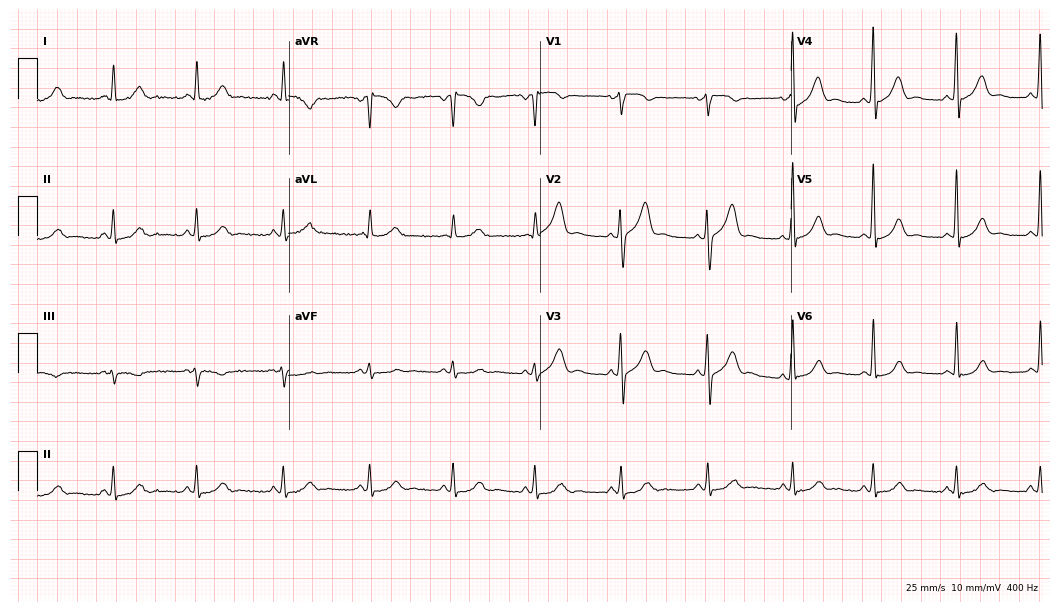
Standard 12-lead ECG recorded from a 53-year-old man. Read as a normal ECG.